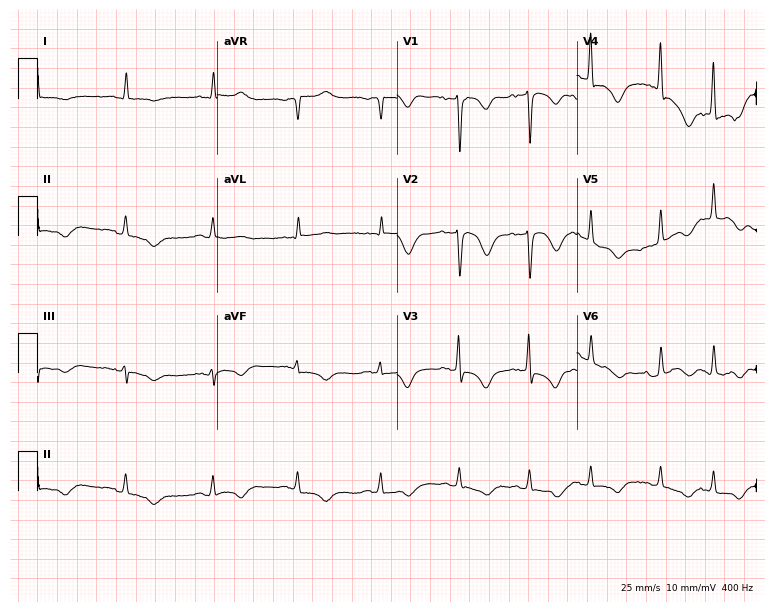
12-lead ECG from an 82-year-old woman. Screened for six findings — first-degree AV block, right bundle branch block, left bundle branch block, sinus bradycardia, atrial fibrillation, sinus tachycardia — none is recorded. Other findings, if any, are not listed.